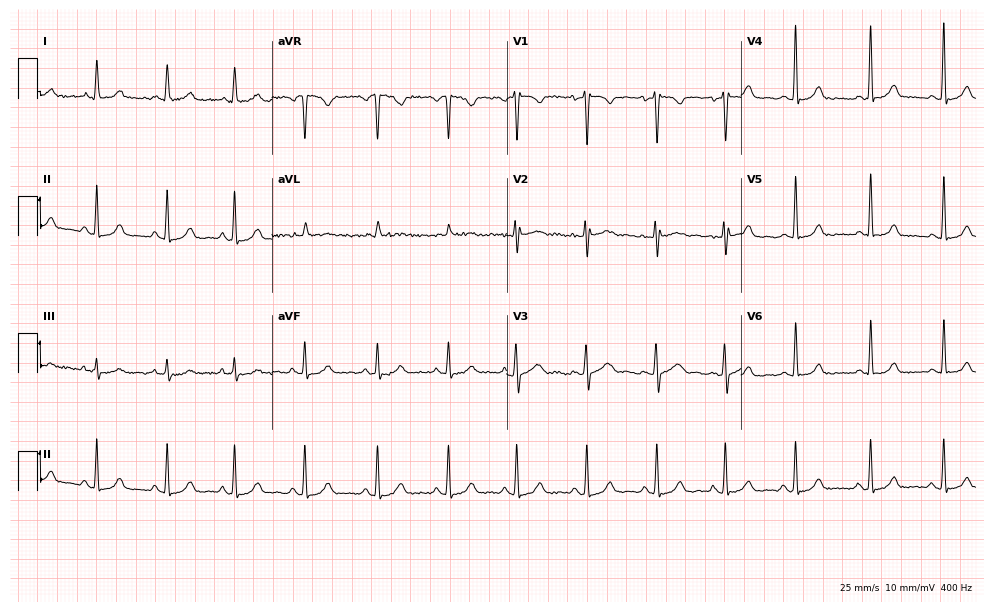
12-lead ECG from a woman, 21 years old (9.6-second recording at 400 Hz). Recorded interpretation: within normal limits.